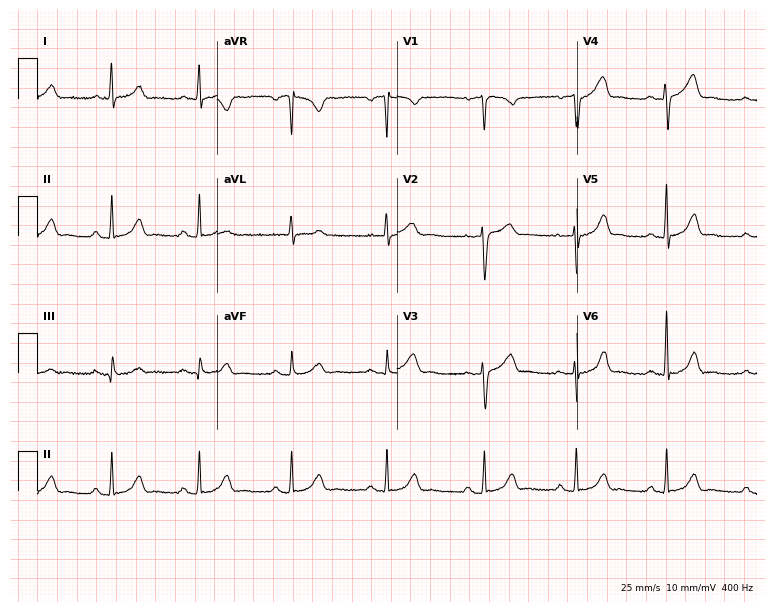
Electrocardiogram, a 48-year-old female. Overall reading on record: normal ECG.